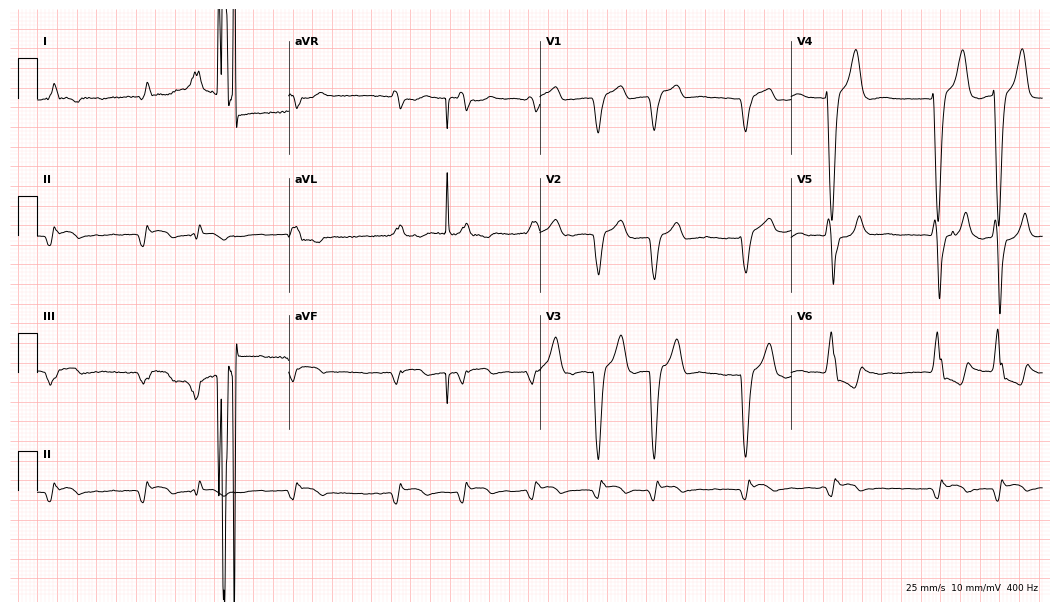
ECG — a 79-year-old male patient. Findings include left bundle branch block (LBBB), atrial fibrillation (AF).